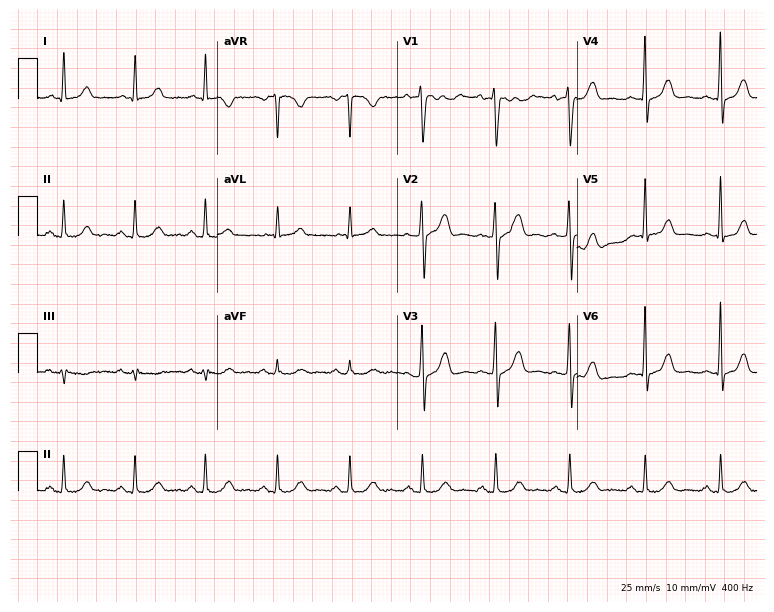
Standard 12-lead ECG recorded from a 43-year-old female patient. Read as a normal ECG.